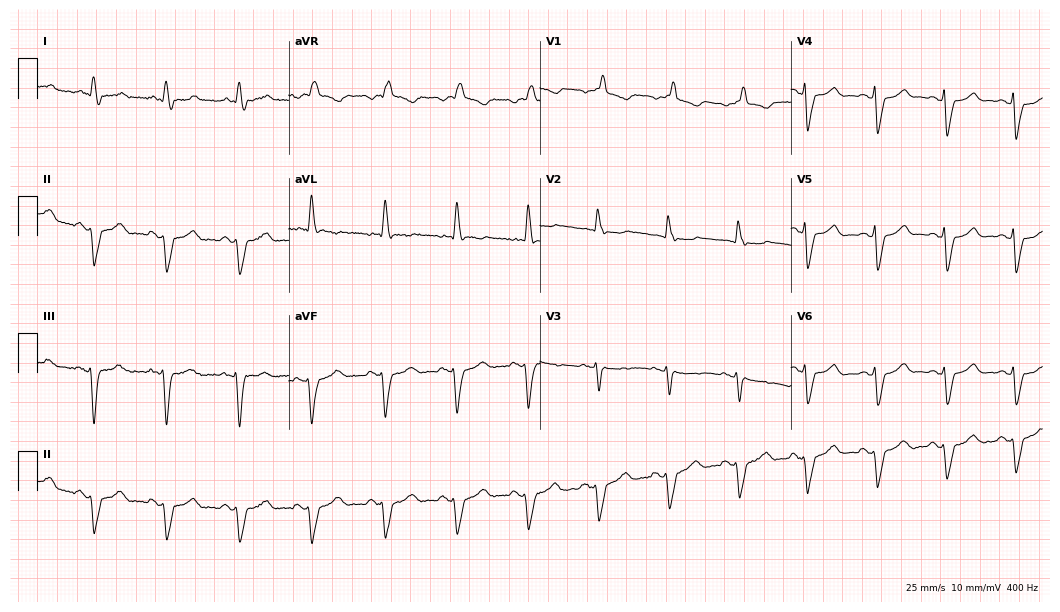
ECG — a female patient, 74 years old. Findings include right bundle branch block (RBBB).